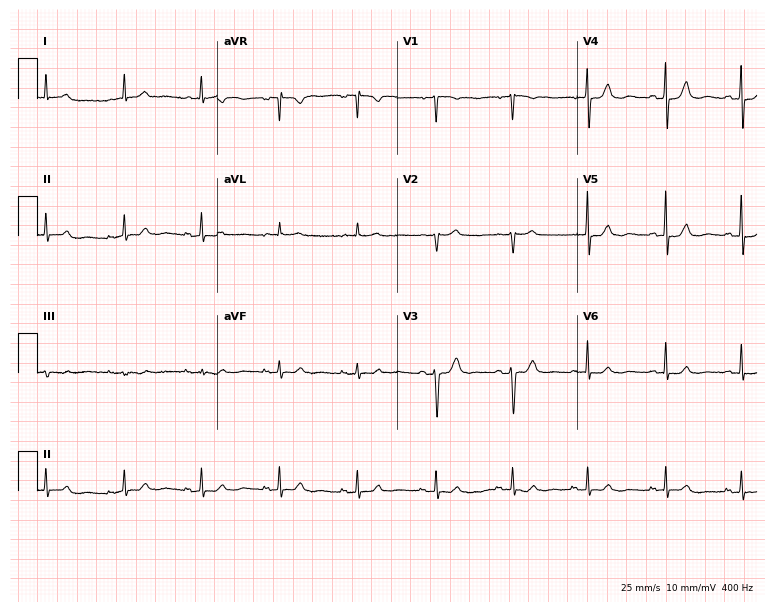
ECG — a female patient, 73 years old. Labelled as a normal ECG.